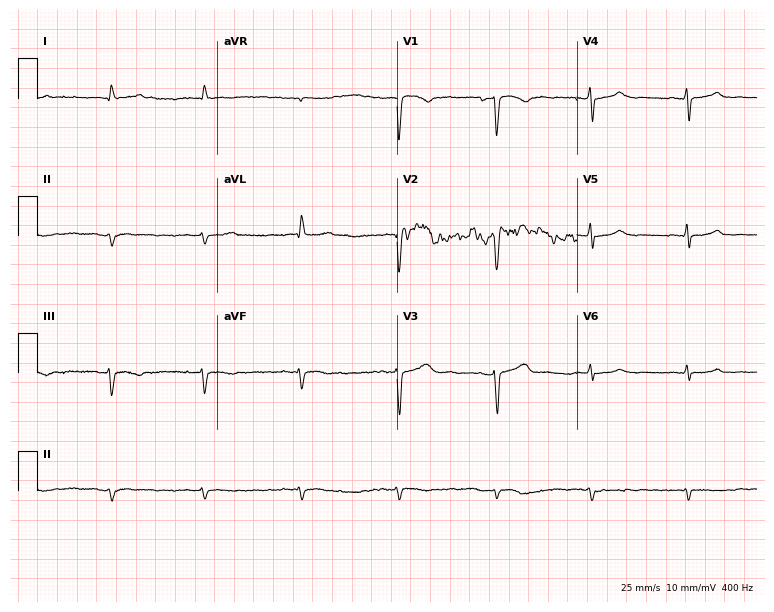
12-lead ECG from a female patient, 46 years old (7.3-second recording at 400 Hz). No first-degree AV block, right bundle branch block (RBBB), left bundle branch block (LBBB), sinus bradycardia, atrial fibrillation (AF) or sinus tachycardia recorded for this tracing.